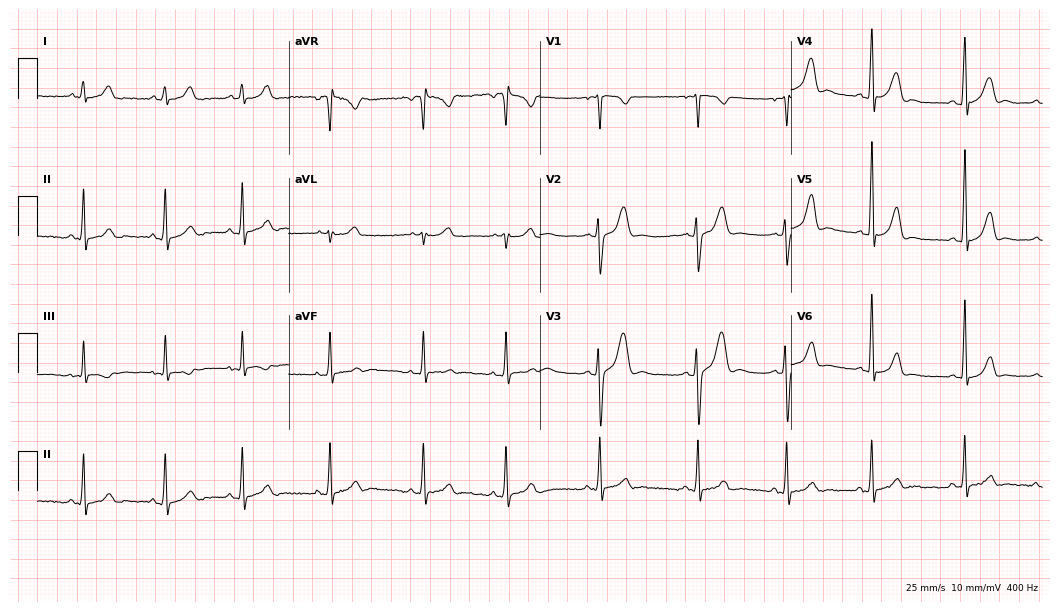
Standard 12-lead ECG recorded from a female patient, 23 years old. None of these six findings is recorded: first-degree AV block, right bundle branch block, left bundle branch block, sinus bradycardia, atrial fibrillation, sinus tachycardia. Only these six findings were labelled.